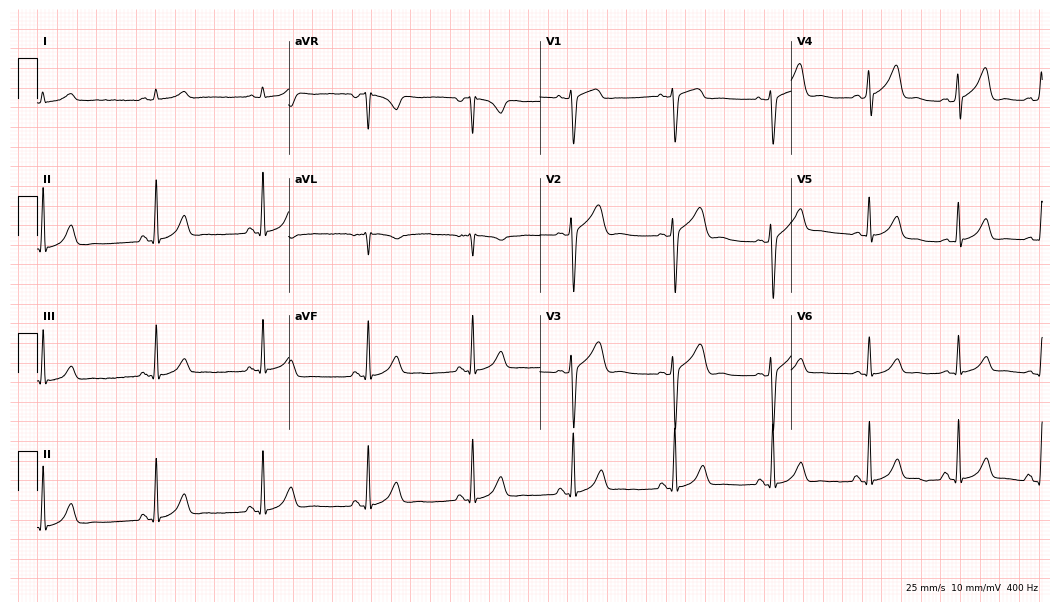
Standard 12-lead ECG recorded from a male patient, 39 years old (10.2-second recording at 400 Hz). None of these six findings is recorded: first-degree AV block, right bundle branch block, left bundle branch block, sinus bradycardia, atrial fibrillation, sinus tachycardia. Findings outside these six are not listed.